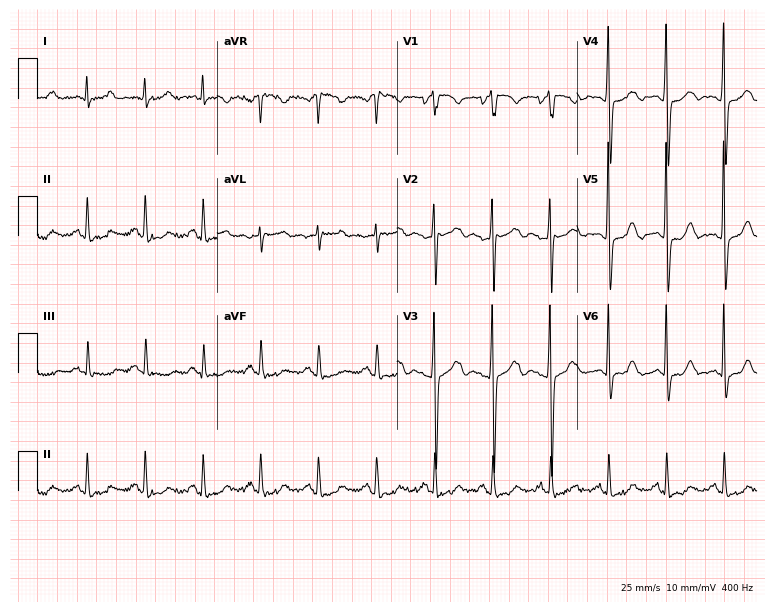
Electrocardiogram, a 79-year-old female. Of the six screened findings (first-degree AV block, right bundle branch block, left bundle branch block, sinus bradycardia, atrial fibrillation, sinus tachycardia), none is recorded. Findings outside these six are not listed.